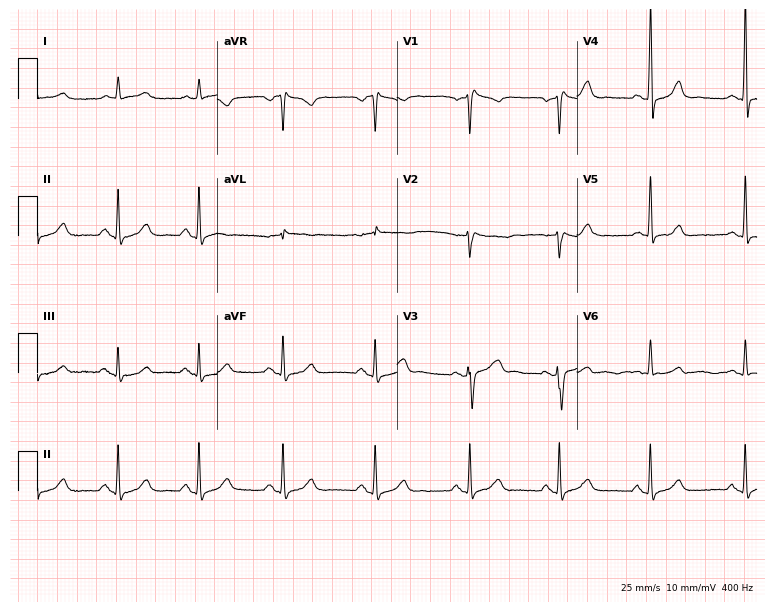
Electrocardiogram (7.3-second recording at 400 Hz), a female patient, 52 years old. Of the six screened findings (first-degree AV block, right bundle branch block, left bundle branch block, sinus bradycardia, atrial fibrillation, sinus tachycardia), none is recorded.